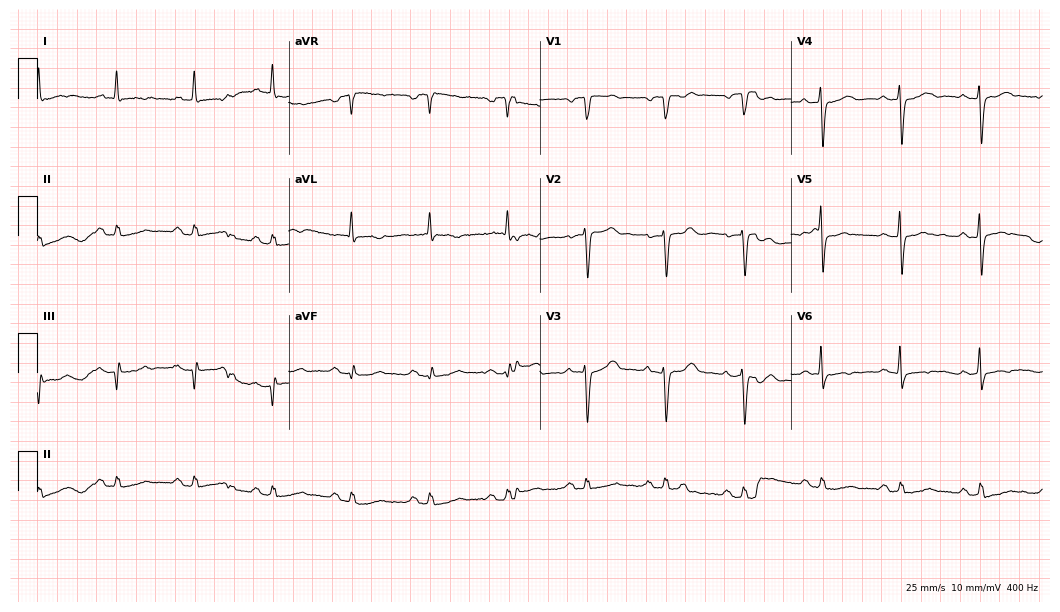
12-lead ECG from a man, 72 years old (10.2-second recording at 400 Hz). No first-degree AV block, right bundle branch block, left bundle branch block, sinus bradycardia, atrial fibrillation or sinus tachycardia recorded for this tracing.